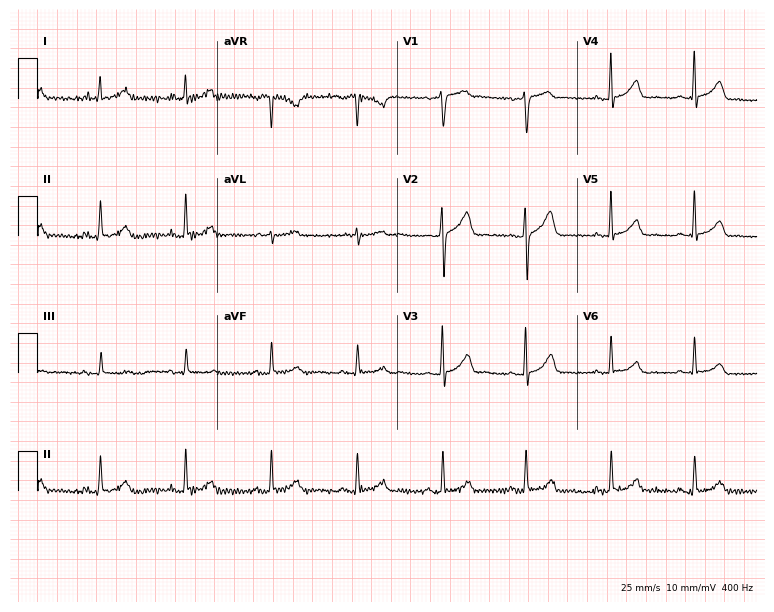
12-lead ECG from a 72-year-old male. Labelled as a normal ECG.